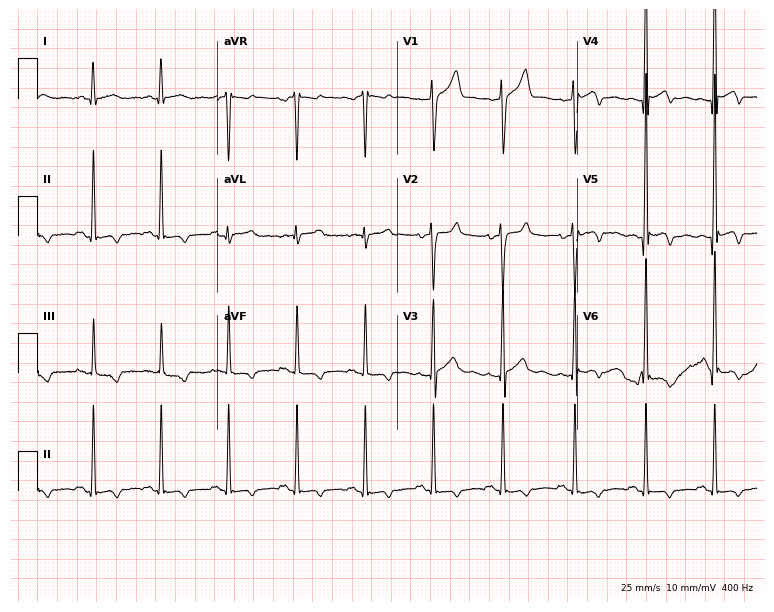
Resting 12-lead electrocardiogram (7.3-second recording at 400 Hz). Patient: a 57-year-old male. None of these six findings is recorded: first-degree AV block, right bundle branch block, left bundle branch block, sinus bradycardia, atrial fibrillation, sinus tachycardia.